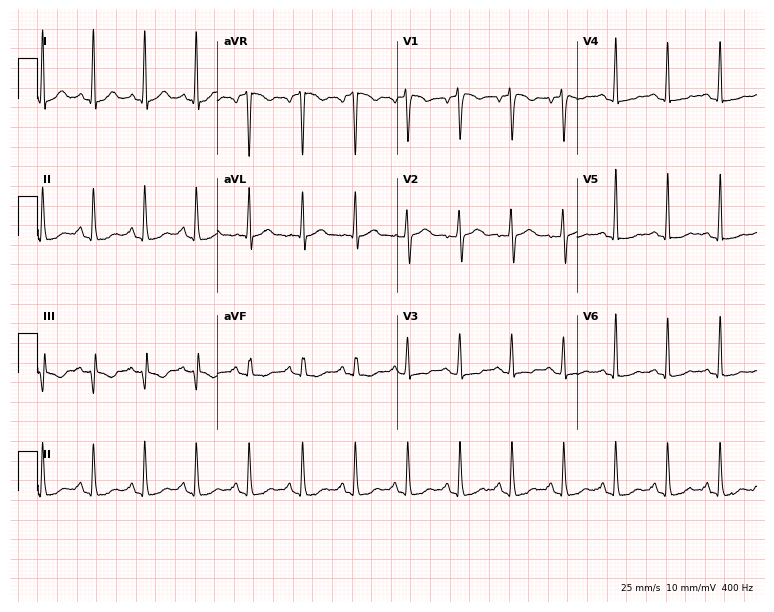
Resting 12-lead electrocardiogram. Patient: a 28-year-old woman. The tracing shows sinus tachycardia (a sinus rate of 100 beats per minute or more).